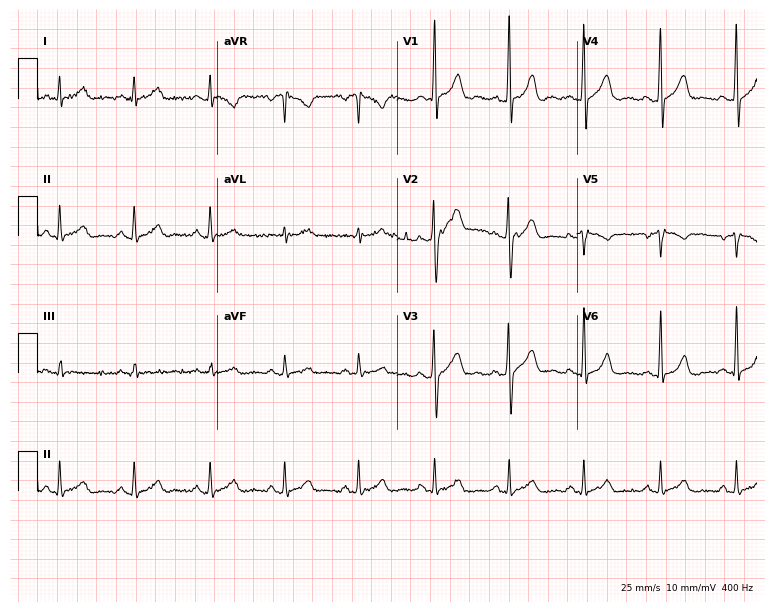
Resting 12-lead electrocardiogram (7.3-second recording at 400 Hz). Patient: a male, 46 years old. Read as a normal ECG.